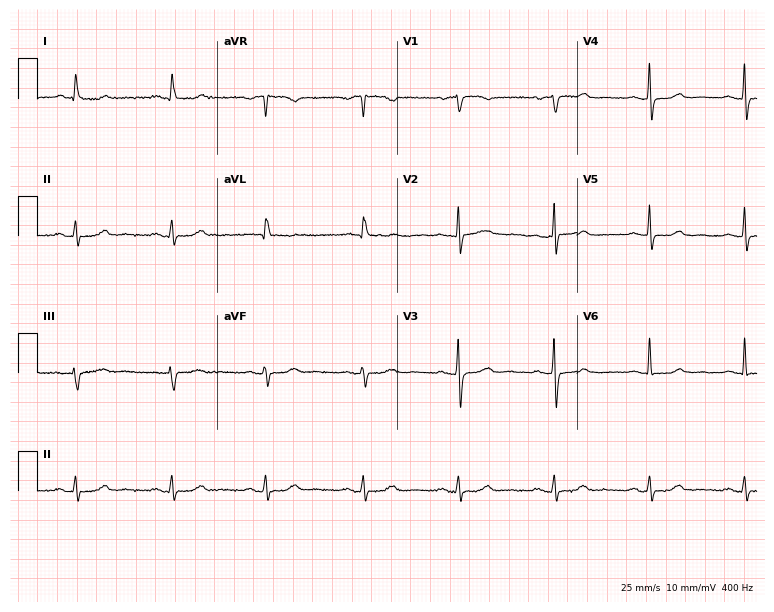
12-lead ECG from a woman, 76 years old. Labelled as a normal ECG.